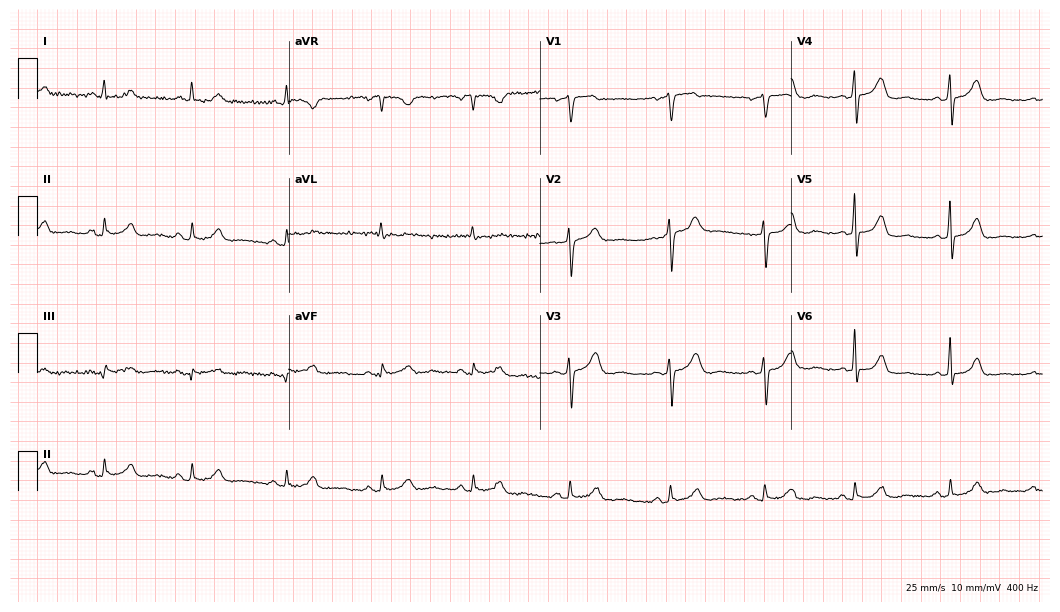
ECG — a 53-year-old woman. Labelled as a normal ECG.